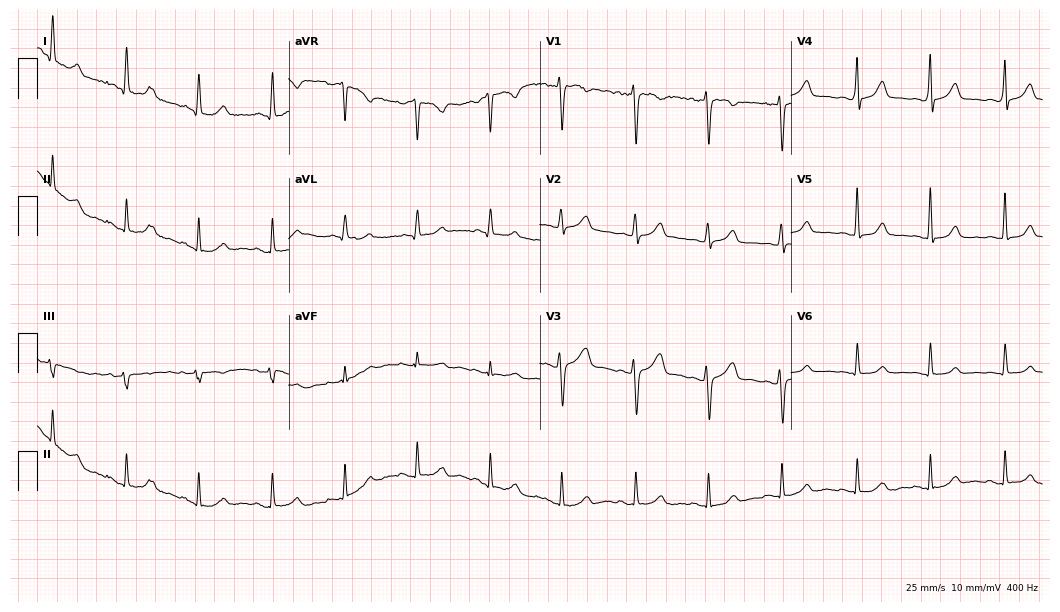
12-lead ECG from a woman, 41 years old (10.2-second recording at 400 Hz). No first-degree AV block, right bundle branch block, left bundle branch block, sinus bradycardia, atrial fibrillation or sinus tachycardia recorded for this tracing.